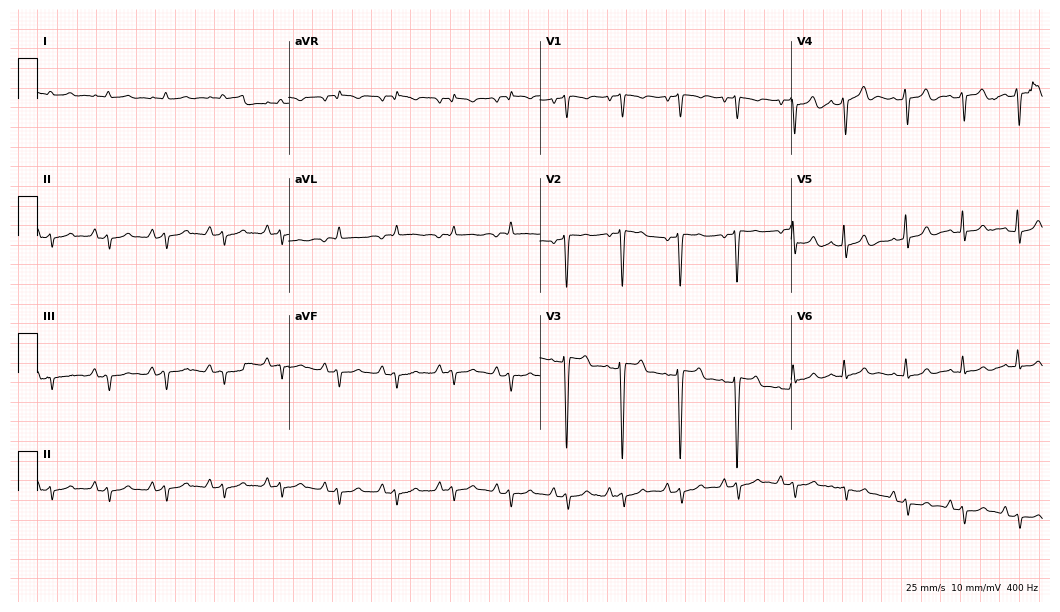
Electrocardiogram (10.2-second recording at 400 Hz), a 64-year-old female patient. Of the six screened findings (first-degree AV block, right bundle branch block (RBBB), left bundle branch block (LBBB), sinus bradycardia, atrial fibrillation (AF), sinus tachycardia), none is recorded.